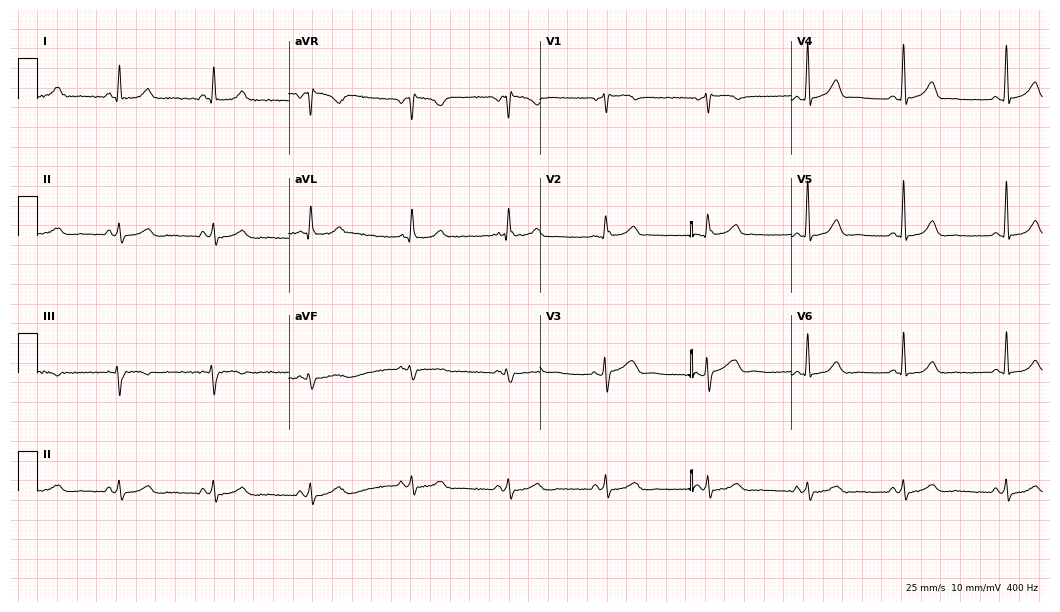
Resting 12-lead electrocardiogram. Patient: a 55-year-old female. None of these six findings is recorded: first-degree AV block, right bundle branch block, left bundle branch block, sinus bradycardia, atrial fibrillation, sinus tachycardia. Findings outside these six are not listed.